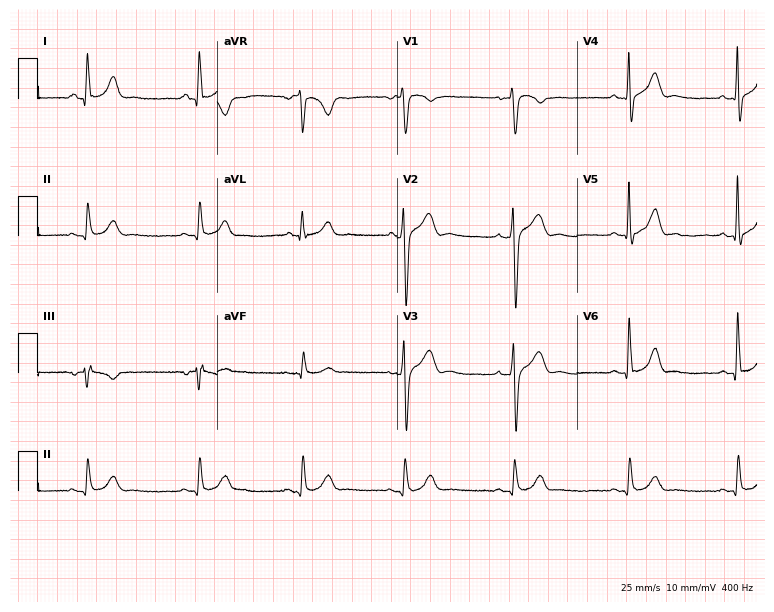
ECG (7.3-second recording at 400 Hz) — a 34-year-old male patient. Screened for six findings — first-degree AV block, right bundle branch block (RBBB), left bundle branch block (LBBB), sinus bradycardia, atrial fibrillation (AF), sinus tachycardia — none is recorded.